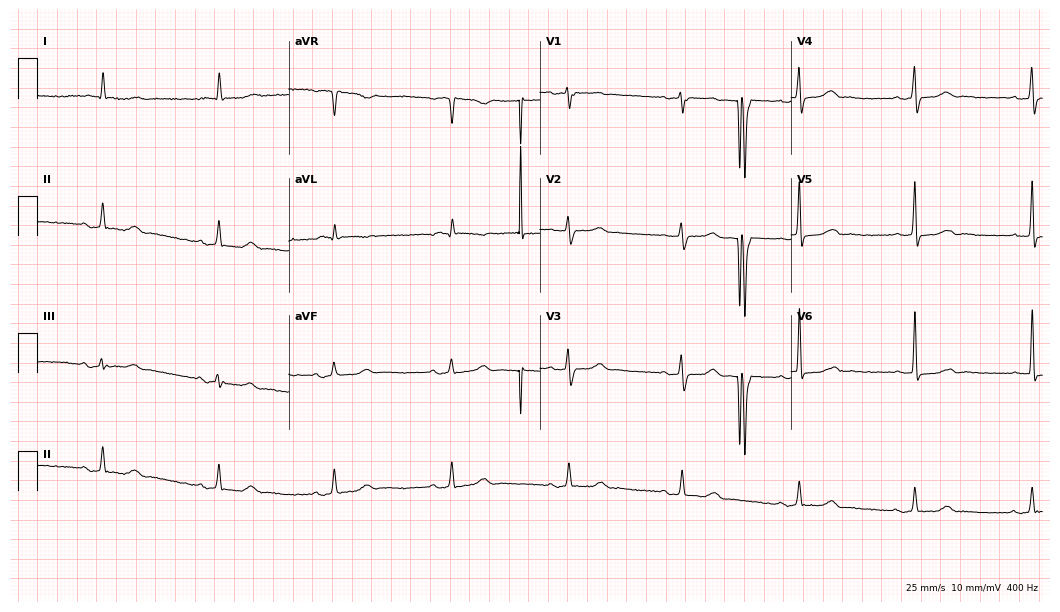
Electrocardiogram, a male, 79 years old. Of the six screened findings (first-degree AV block, right bundle branch block (RBBB), left bundle branch block (LBBB), sinus bradycardia, atrial fibrillation (AF), sinus tachycardia), none is recorded. Other findings, if any, are not listed.